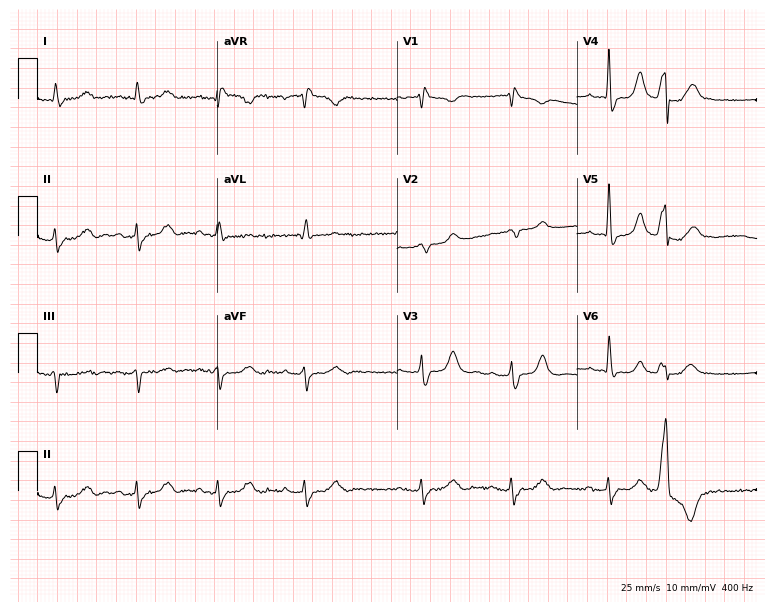
Standard 12-lead ECG recorded from a male, 81 years old. The tracing shows right bundle branch block.